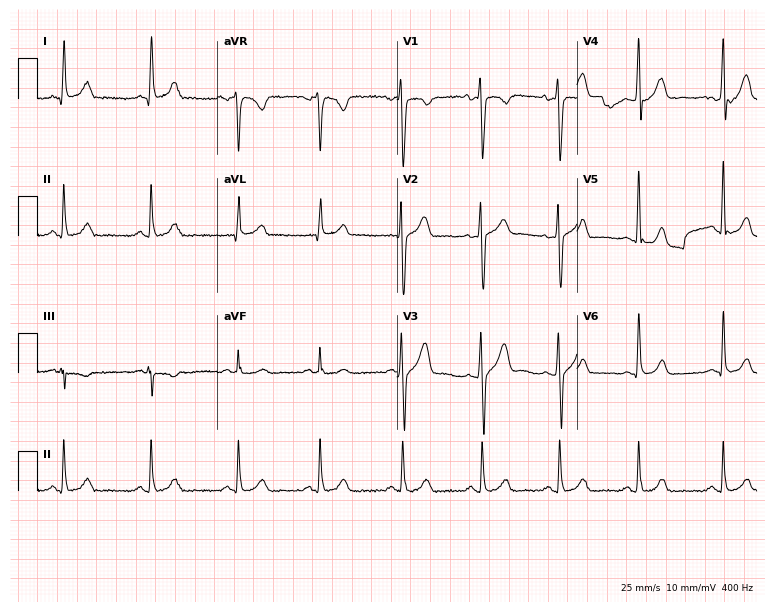
12-lead ECG from a 34-year-old male. Recorded interpretation: within normal limits.